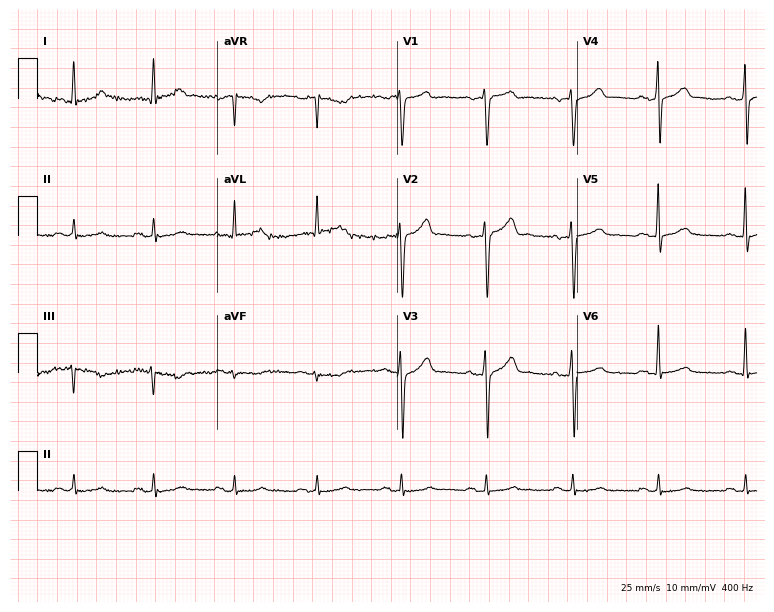
12-lead ECG from a 68-year-old male patient. Recorded interpretation: within normal limits.